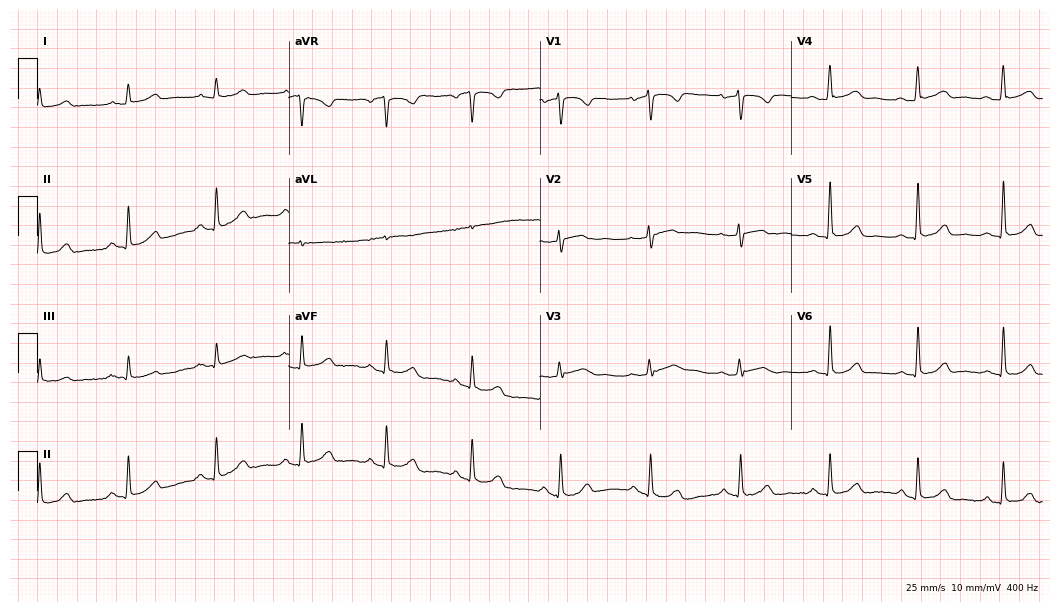
Electrocardiogram (10.2-second recording at 400 Hz), a 53-year-old woman. Overall reading on record: normal ECG.